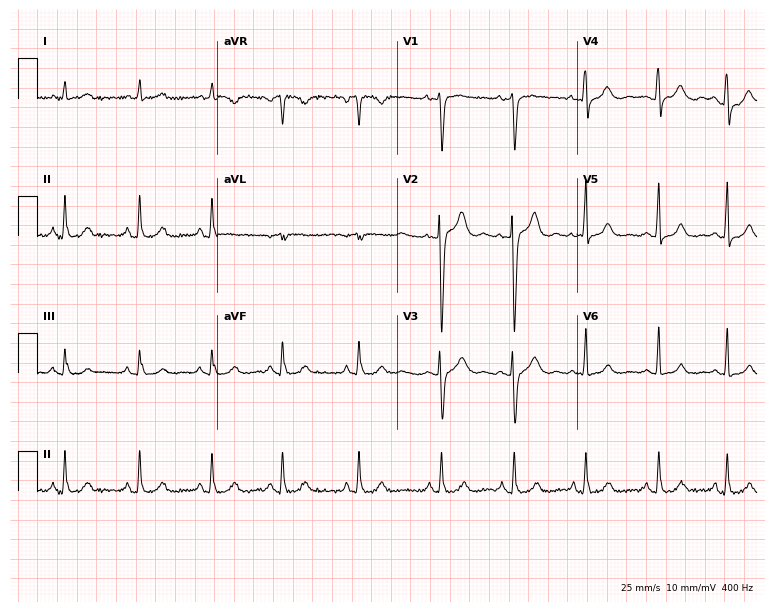
Resting 12-lead electrocardiogram. Patient: a 20-year-old woman. Read as a normal ECG.